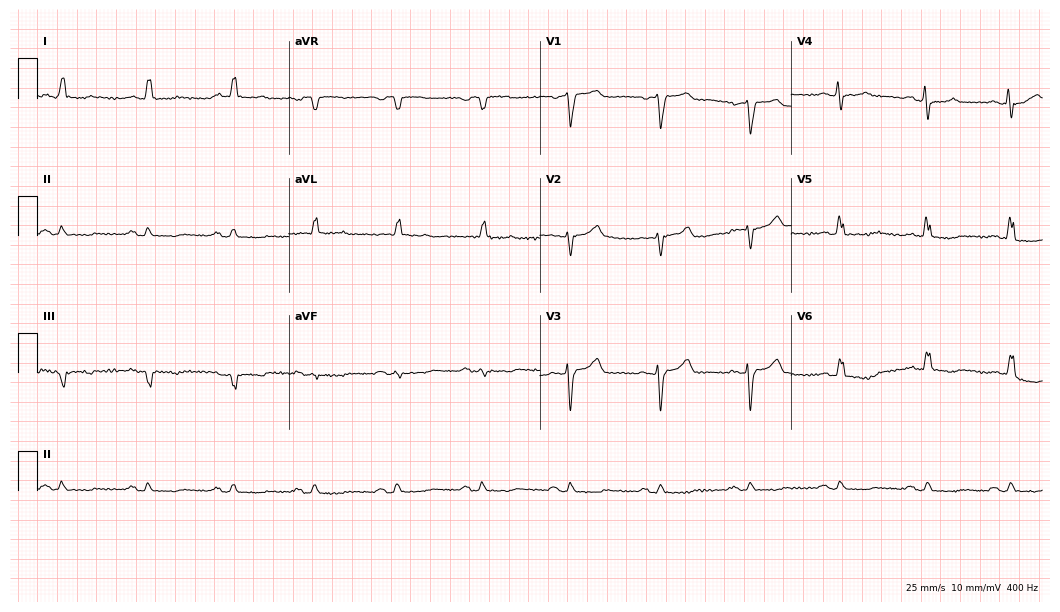
ECG — a male, 67 years old. Screened for six findings — first-degree AV block, right bundle branch block, left bundle branch block, sinus bradycardia, atrial fibrillation, sinus tachycardia — none is recorded. Findings outside these six are not listed.